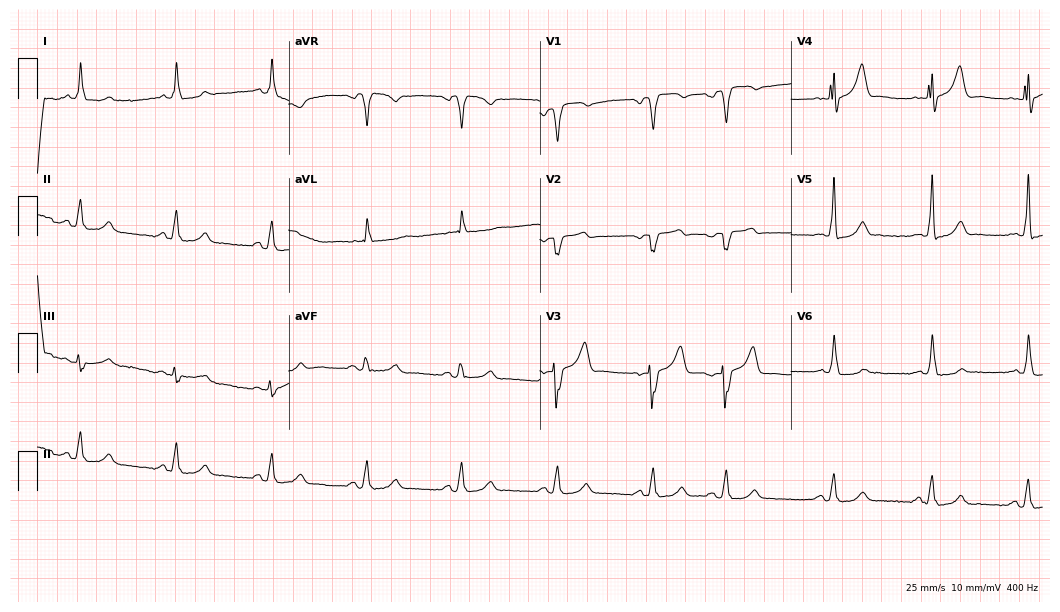
Resting 12-lead electrocardiogram (10.2-second recording at 400 Hz). Patient: a 71-year-old man. None of these six findings is recorded: first-degree AV block, right bundle branch block, left bundle branch block, sinus bradycardia, atrial fibrillation, sinus tachycardia.